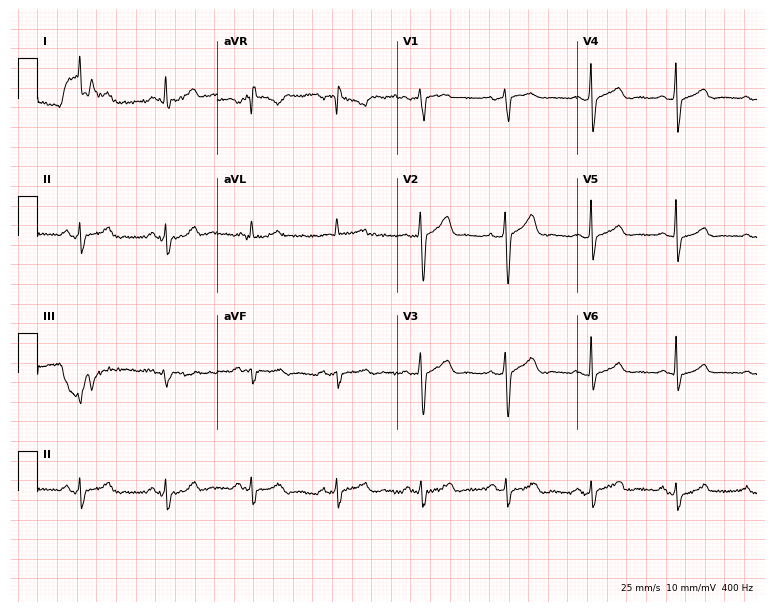
Resting 12-lead electrocardiogram. Patient: a man, 49 years old. None of these six findings is recorded: first-degree AV block, right bundle branch block, left bundle branch block, sinus bradycardia, atrial fibrillation, sinus tachycardia.